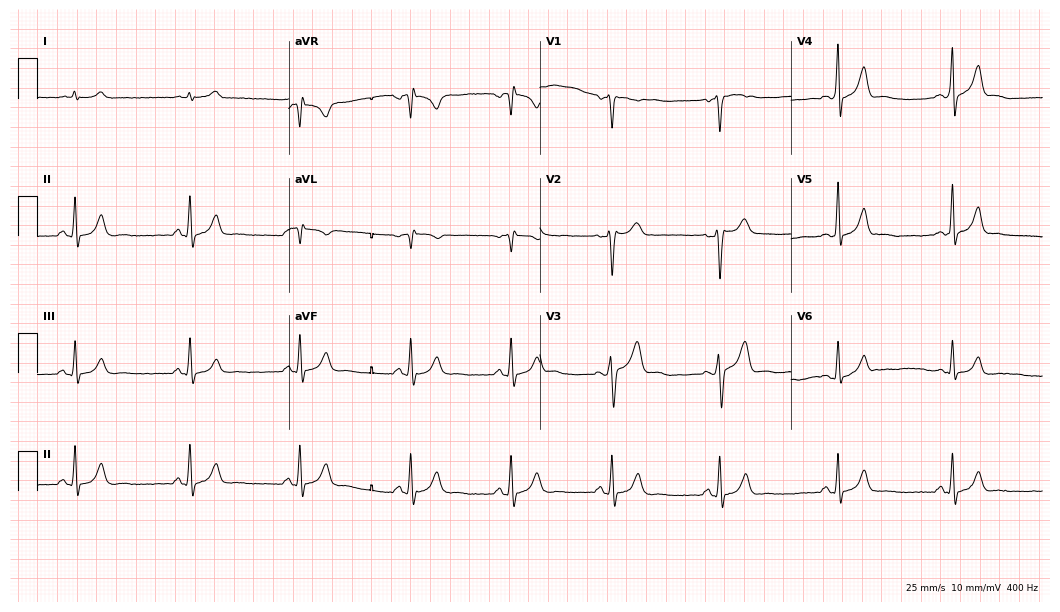
12-lead ECG from a 37-year-old man. Recorded interpretation: within normal limits.